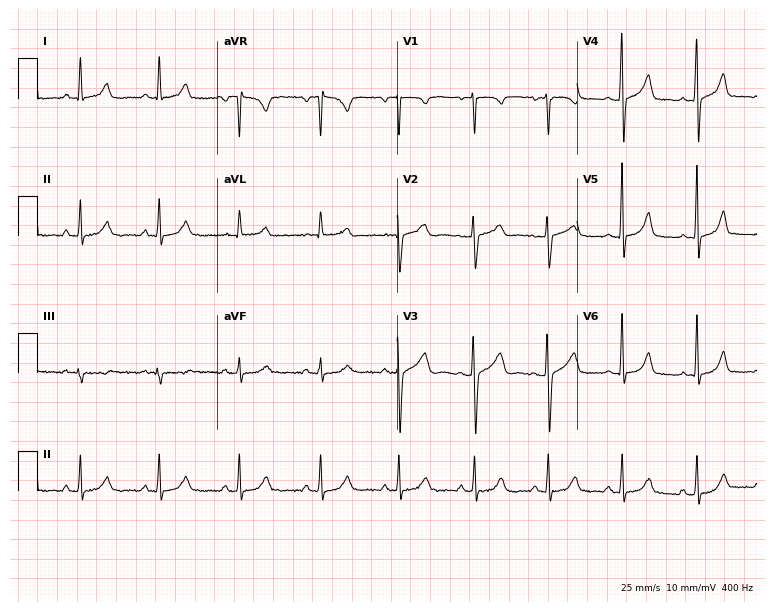
12-lead ECG from a female patient, 36 years old (7.3-second recording at 400 Hz). No first-degree AV block, right bundle branch block, left bundle branch block, sinus bradycardia, atrial fibrillation or sinus tachycardia recorded for this tracing.